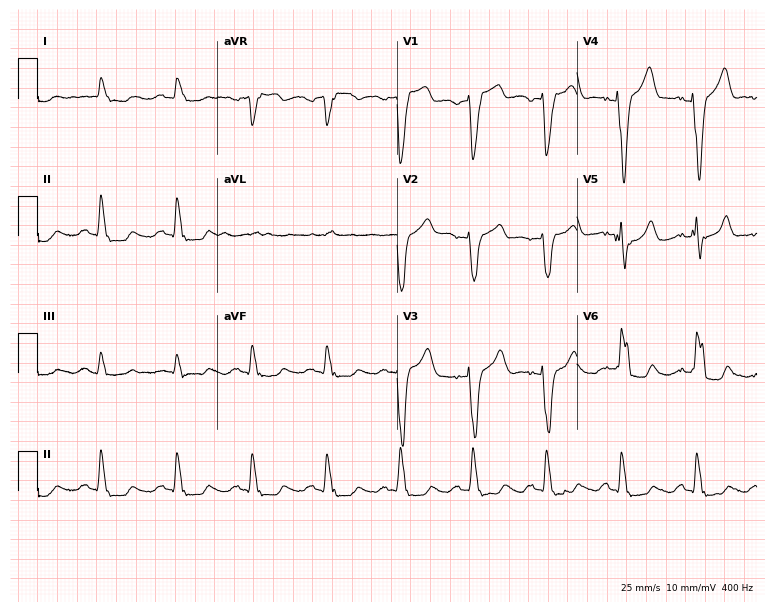
Standard 12-lead ECG recorded from an 84-year-old man (7.3-second recording at 400 Hz). The tracing shows left bundle branch block (LBBB).